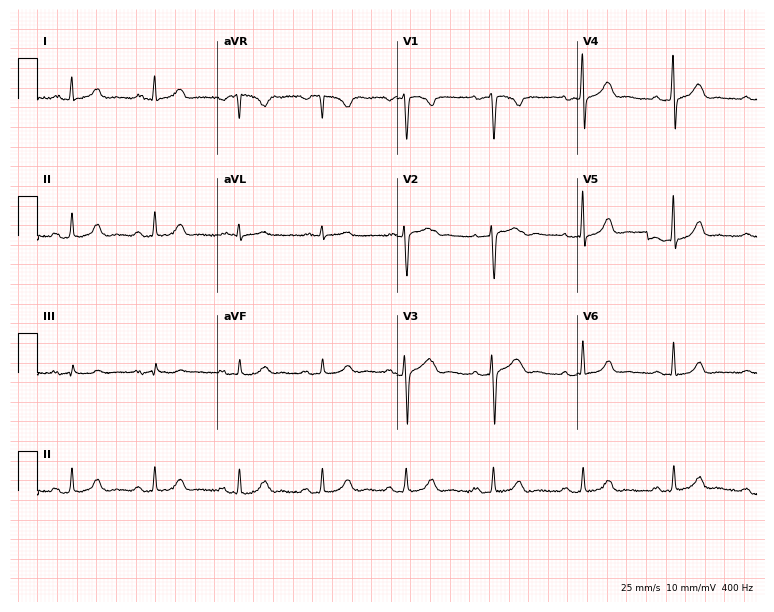
Electrocardiogram, a 40-year-old female. Overall reading on record: normal ECG.